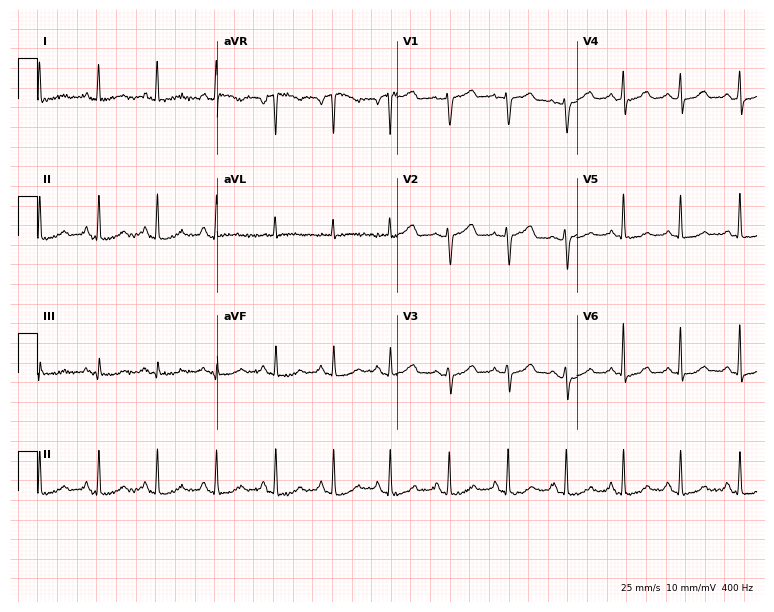
Standard 12-lead ECG recorded from a 63-year-old woman (7.3-second recording at 400 Hz). Read as a normal ECG.